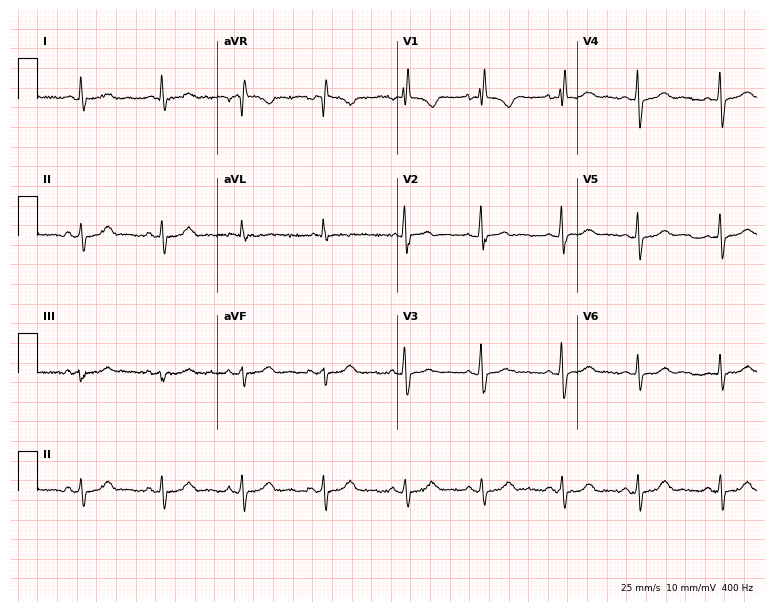
Resting 12-lead electrocardiogram (7.3-second recording at 400 Hz). Patient: a 67-year-old male. None of these six findings is recorded: first-degree AV block, right bundle branch block, left bundle branch block, sinus bradycardia, atrial fibrillation, sinus tachycardia.